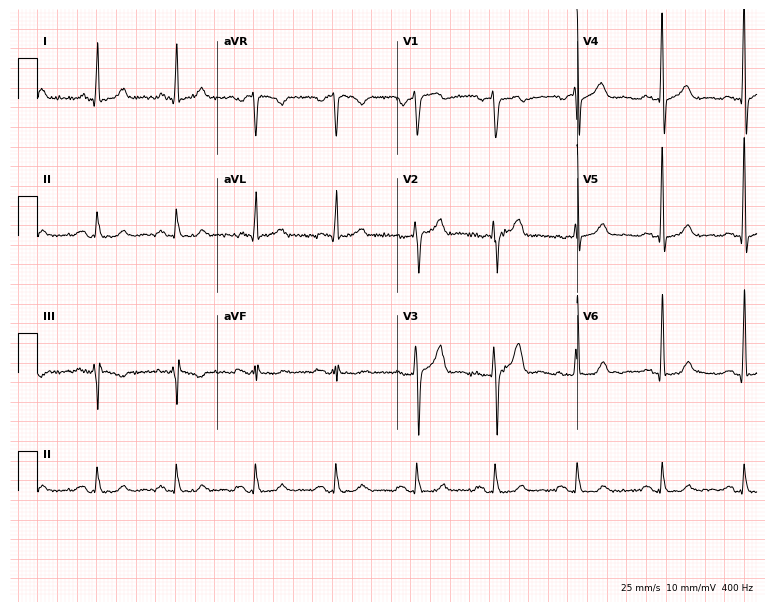
12-lead ECG from a 40-year-old male. Screened for six findings — first-degree AV block, right bundle branch block (RBBB), left bundle branch block (LBBB), sinus bradycardia, atrial fibrillation (AF), sinus tachycardia — none is recorded. Findings outside these six are not listed.